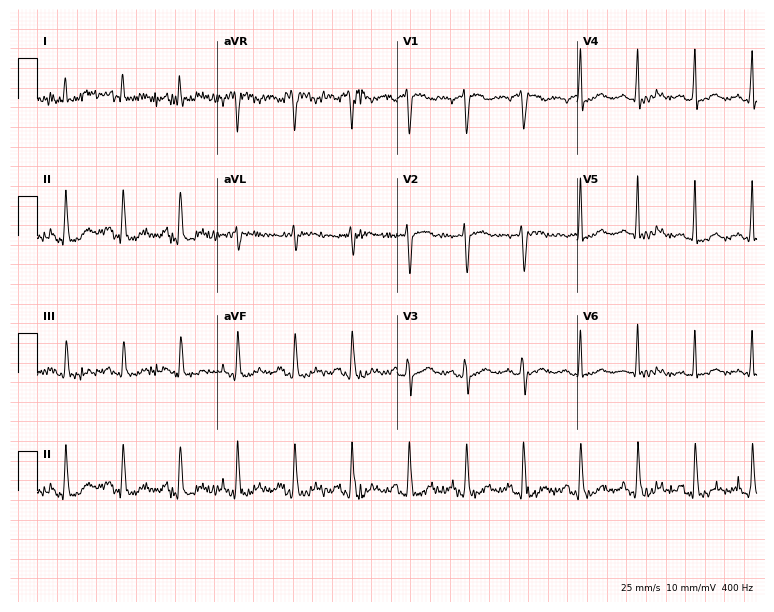
Standard 12-lead ECG recorded from a 71-year-old woman. None of these six findings is recorded: first-degree AV block, right bundle branch block (RBBB), left bundle branch block (LBBB), sinus bradycardia, atrial fibrillation (AF), sinus tachycardia.